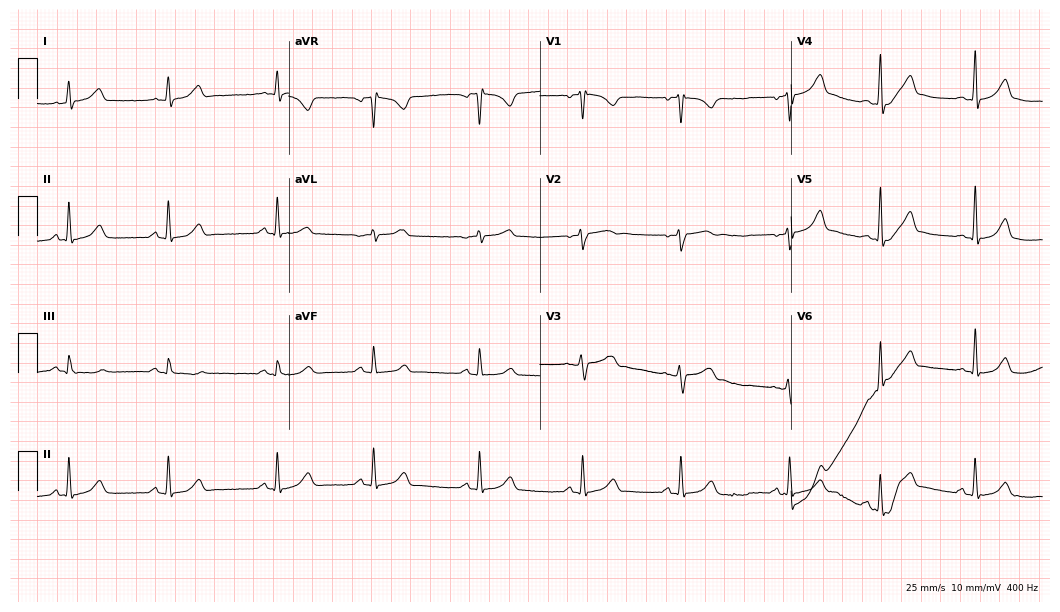
12-lead ECG from a female, 28 years old. No first-degree AV block, right bundle branch block (RBBB), left bundle branch block (LBBB), sinus bradycardia, atrial fibrillation (AF) or sinus tachycardia recorded for this tracing.